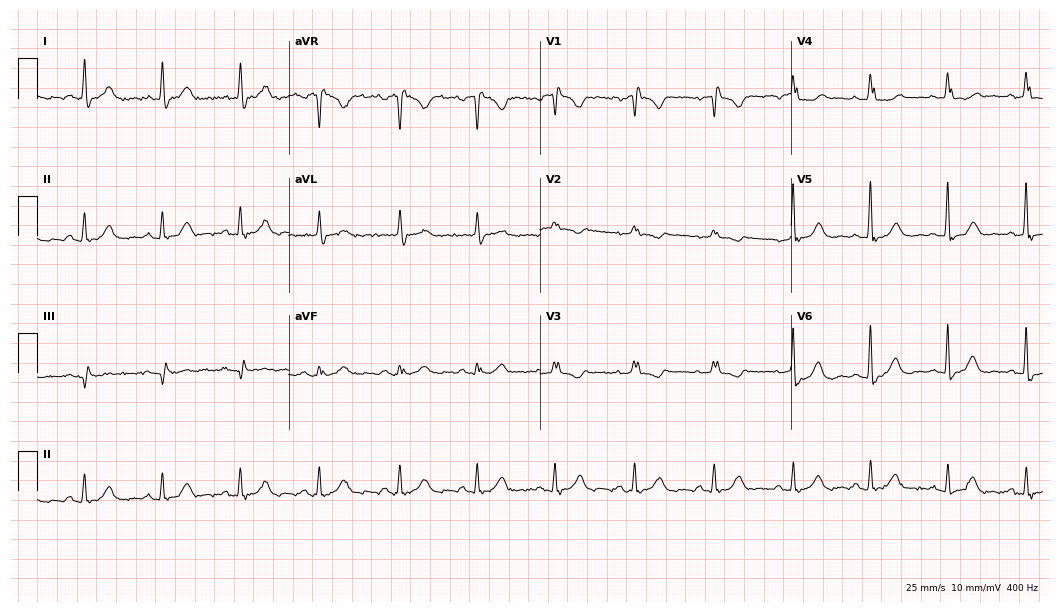
12-lead ECG from an 80-year-old female. Shows right bundle branch block.